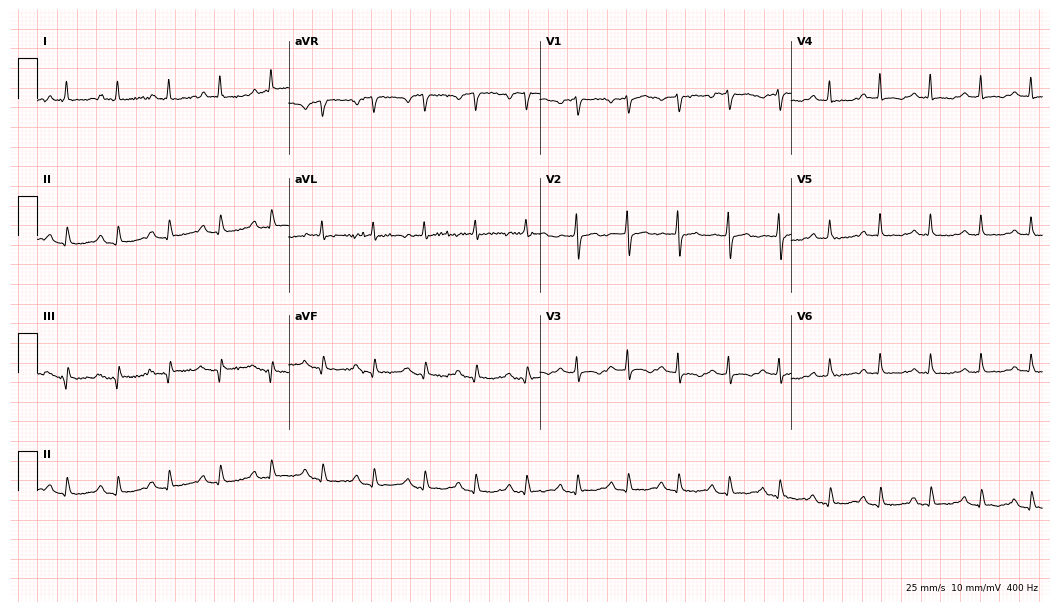
12-lead ECG from a female patient, 73 years old. Shows sinus tachycardia (a sinus rate of 100 beats per minute or more).